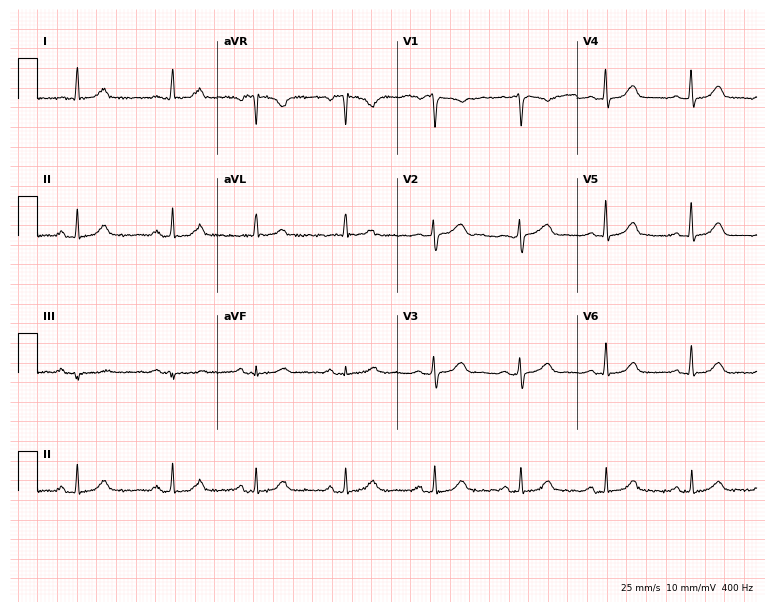
12-lead ECG from a 53-year-old female patient (7.3-second recording at 400 Hz). Recorded interpretation: within normal limits.